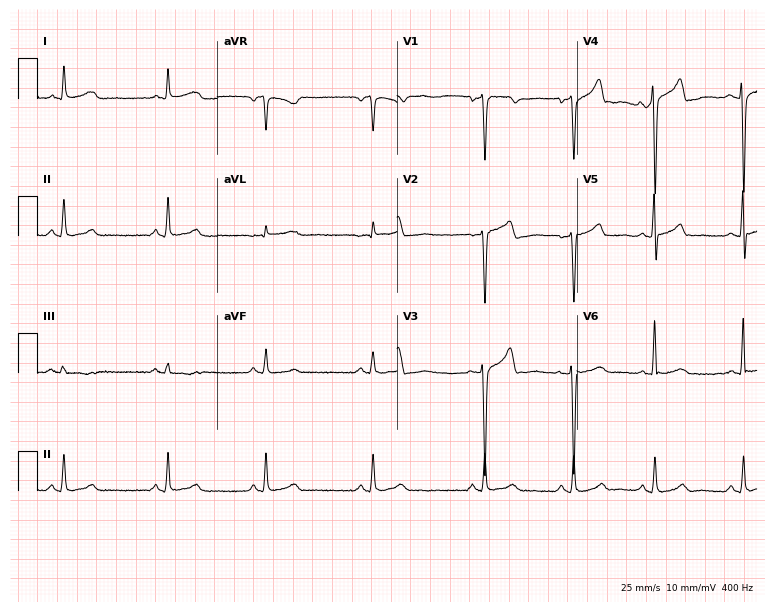
Standard 12-lead ECG recorded from a male patient, 19 years old. Read as a normal ECG.